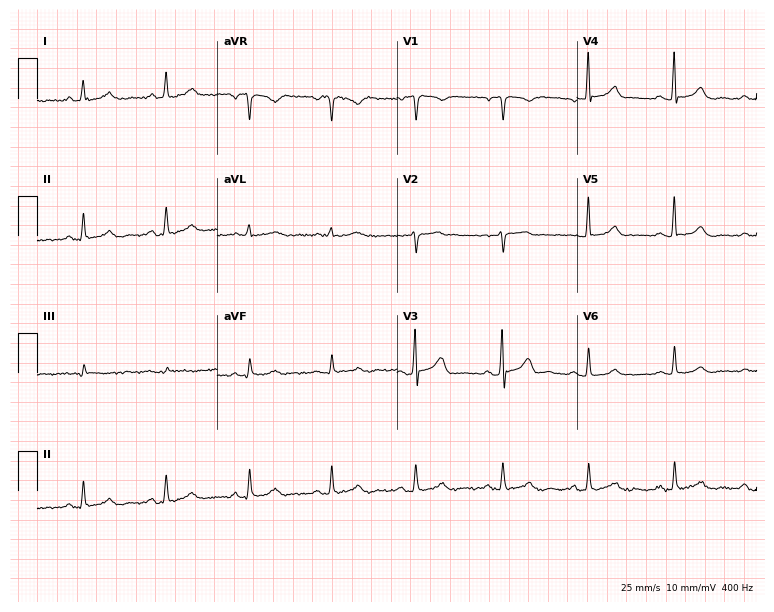
12-lead ECG from a 47-year-old female patient. Screened for six findings — first-degree AV block, right bundle branch block, left bundle branch block, sinus bradycardia, atrial fibrillation, sinus tachycardia — none is recorded.